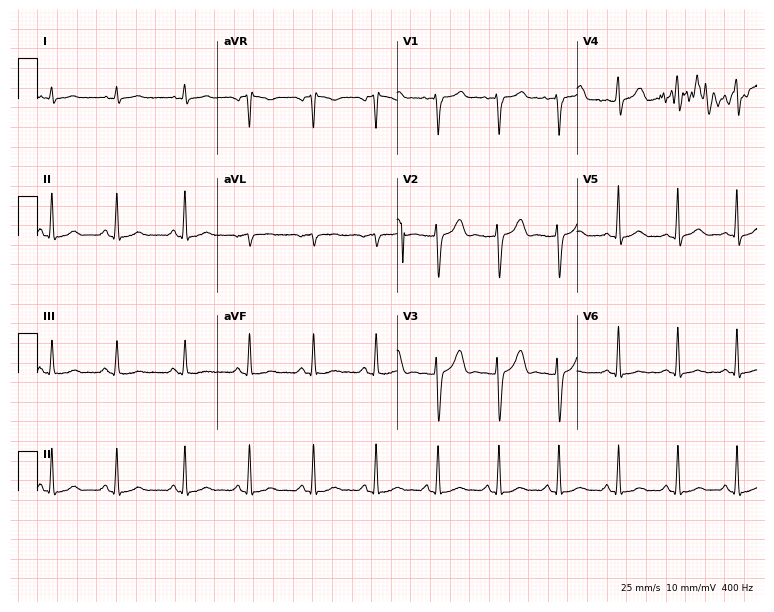
Electrocardiogram, a 36-year-old male. Overall reading on record: normal ECG.